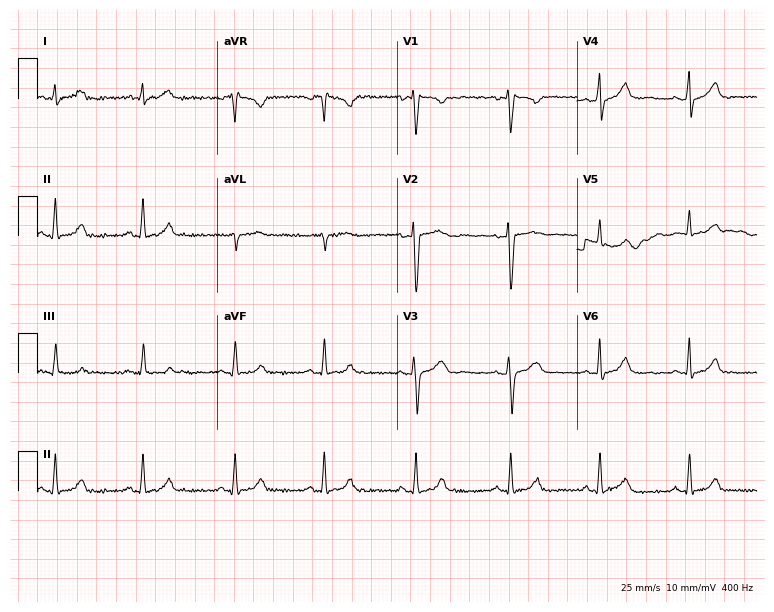
Electrocardiogram (7.3-second recording at 400 Hz), a woman, 34 years old. Overall reading on record: normal ECG.